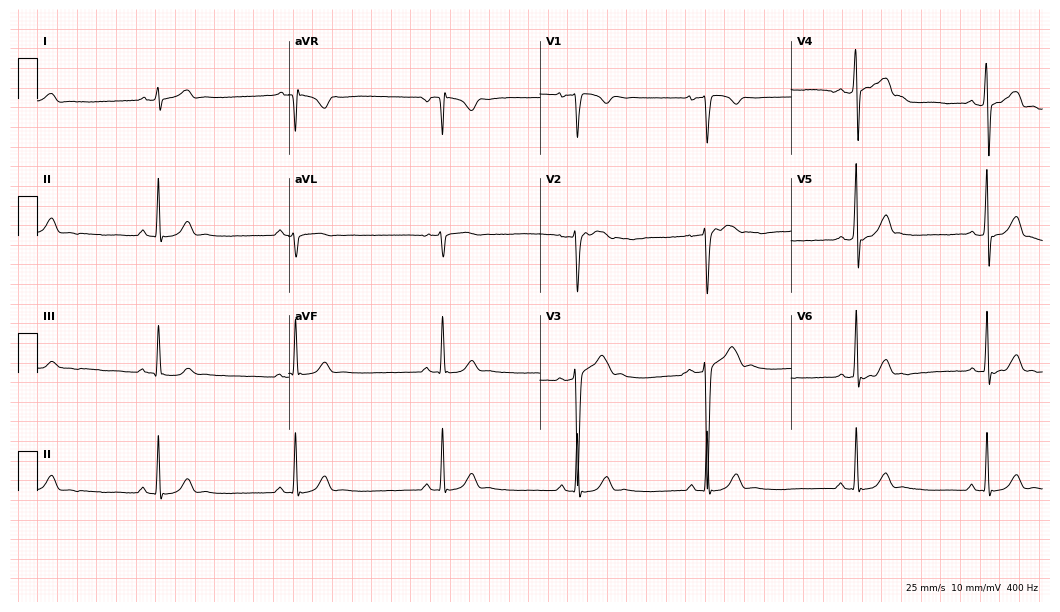
12-lead ECG from a 20-year-old man. Findings include sinus bradycardia (a sinus rate of 50 beats per minute or less).